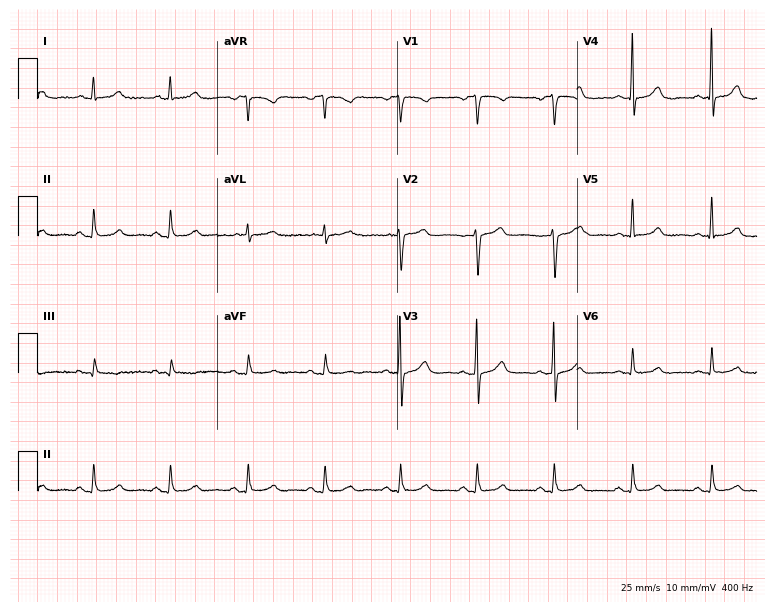
Resting 12-lead electrocardiogram. Patient: a female, 54 years old. None of these six findings is recorded: first-degree AV block, right bundle branch block, left bundle branch block, sinus bradycardia, atrial fibrillation, sinus tachycardia.